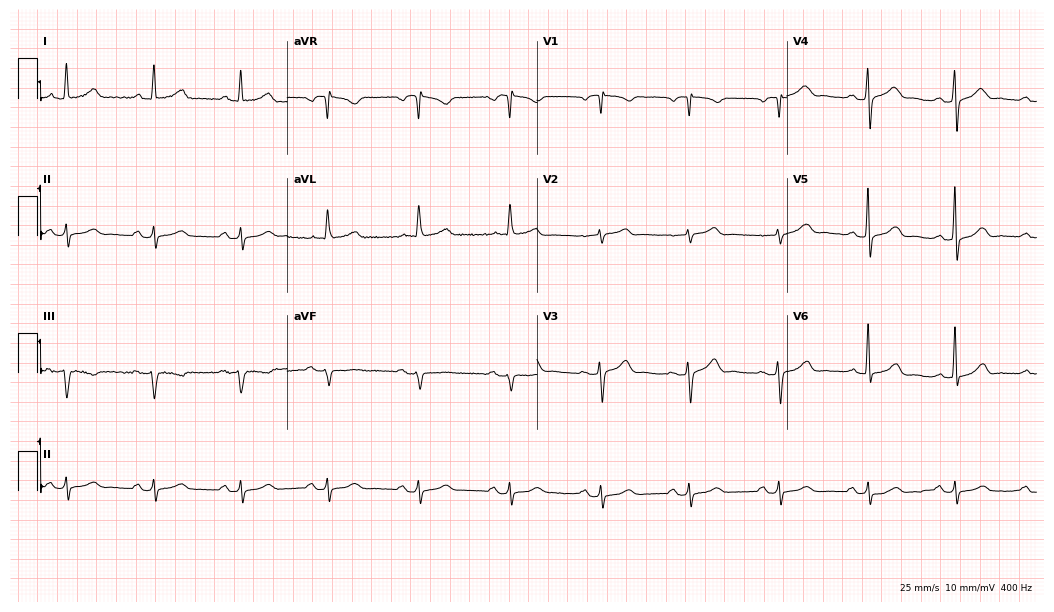
Resting 12-lead electrocardiogram. Patient: a female, 72 years old. None of these six findings is recorded: first-degree AV block, right bundle branch block, left bundle branch block, sinus bradycardia, atrial fibrillation, sinus tachycardia.